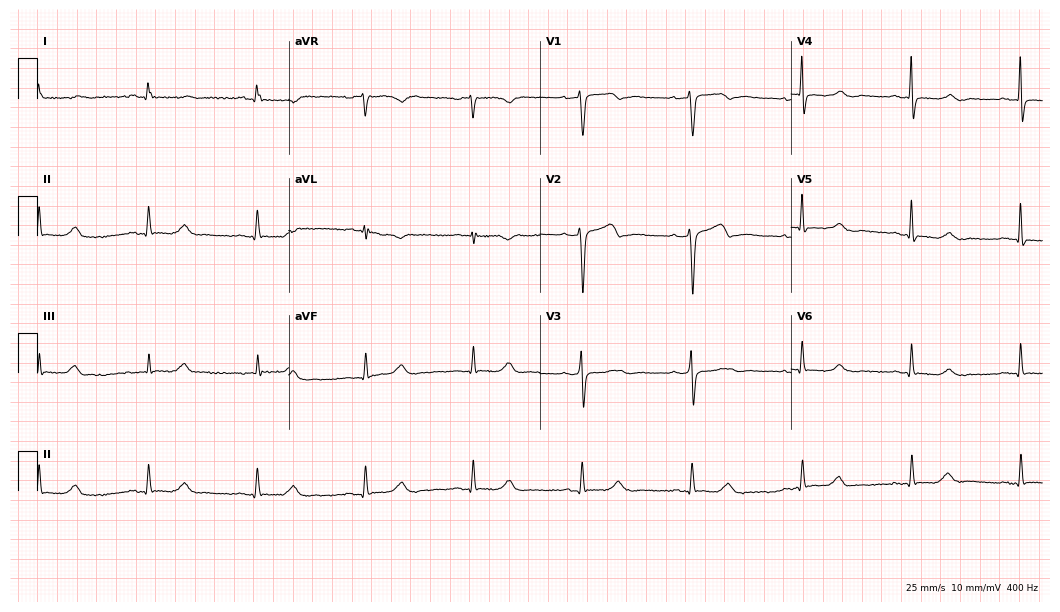
ECG (10.2-second recording at 400 Hz) — a female, 61 years old. Labelled as a normal ECG.